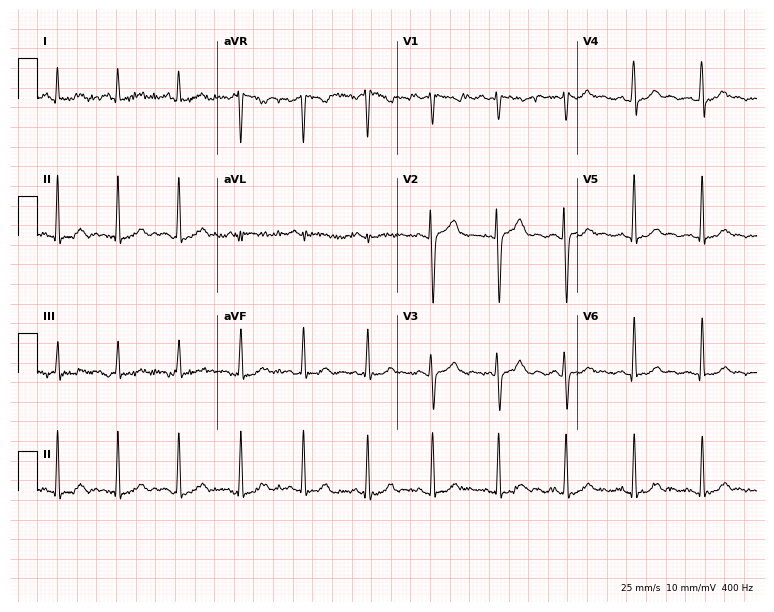
12-lead ECG from a 20-year-old man (7.3-second recording at 400 Hz). No first-degree AV block, right bundle branch block (RBBB), left bundle branch block (LBBB), sinus bradycardia, atrial fibrillation (AF) or sinus tachycardia recorded for this tracing. Only these six findings were labelled.